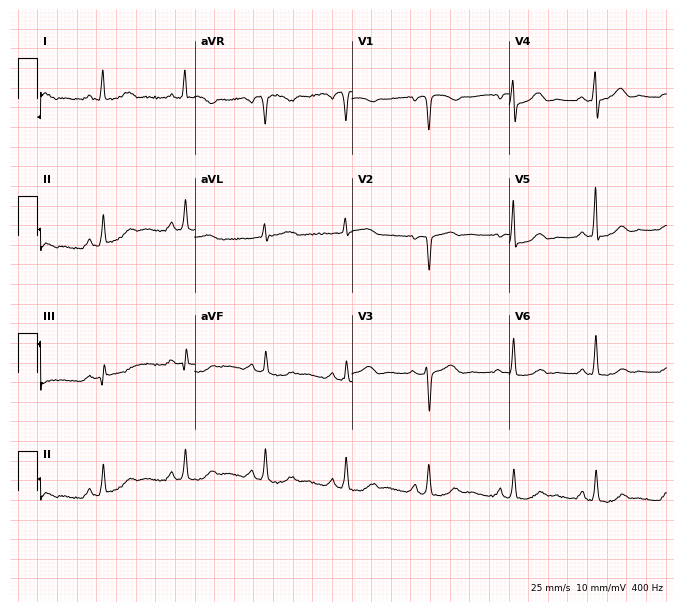
12-lead ECG from a male patient, 48 years old. Screened for six findings — first-degree AV block, right bundle branch block, left bundle branch block, sinus bradycardia, atrial fibrillation, sinus tachycardia — none is recorded.